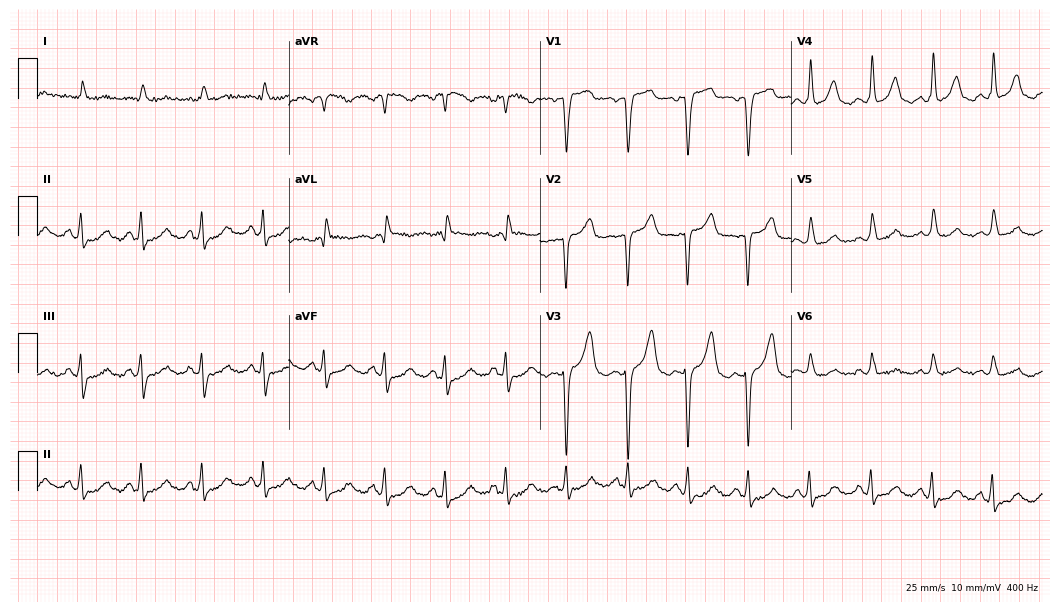
12-lead ECG from a female patient, 77 years old. Screened for six findings — first-degree AV block, right bundle branch block (RBBB), left bundle branch block (LBBB), sinus bradycardia, atrial fibrillation (AF), sinus tachycardia — none is recorded.